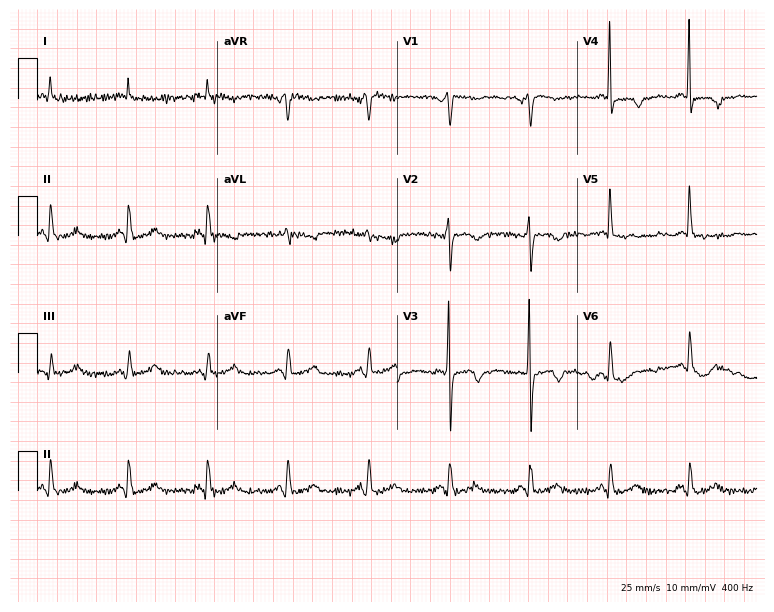
Resting 12-lead electrocardiogram. Patient: a male, 71 years old. None of these six findings is recorded: first-degree AV block, right bundle branch block (RBBB), left bundle branch block (LBBB), sinus bradycardia, atrial fibrillation (AF), sinus tachycardia.